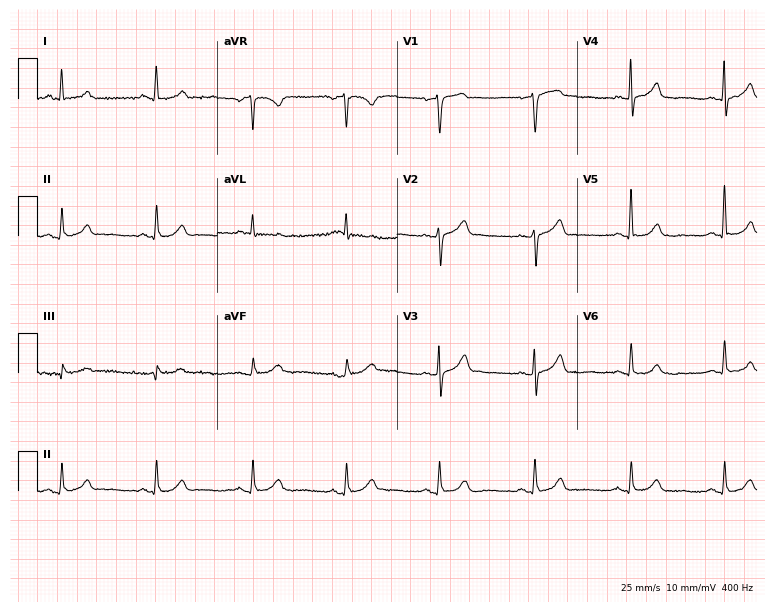
Resting 12-lead electrocardiogram (7.3-second recording at 400 Hz). Patient: a 62-year-old female. None of these six findings is recorded: first-degree AV block, right bundle branch block, left bundle branch block, sinus bradycardia, atrial fibrillation, sinus tachycardia. Only these six findings were labelled.